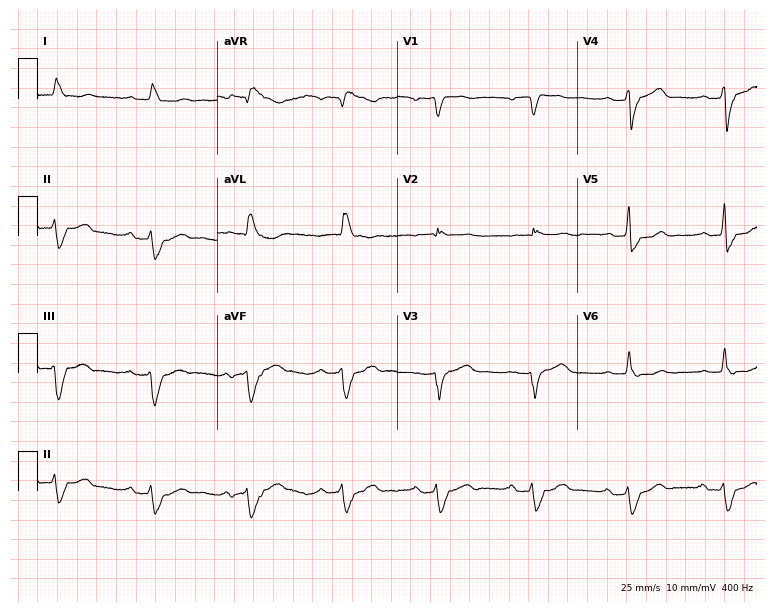
Resting 12-lead electrocardiogram (7.3-second recording at 400 Hz). Patient: a man, 79 years old. The tracing shows first-degree AV block.